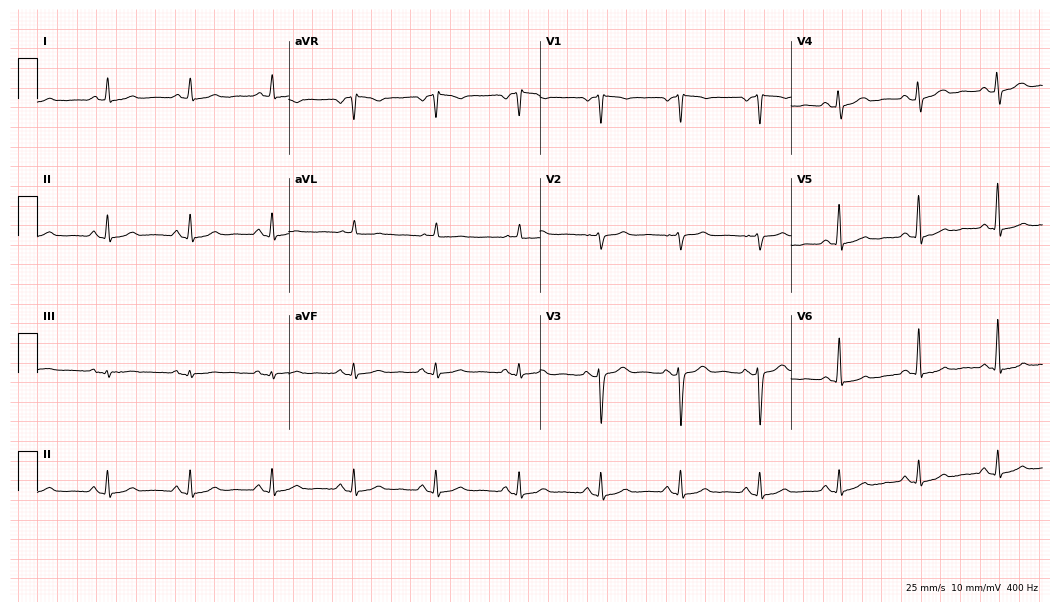
12-lead ECG (10.2-second recording at 400 Hz) from a male patient, 59 years old. Labelled as a normal ECG.